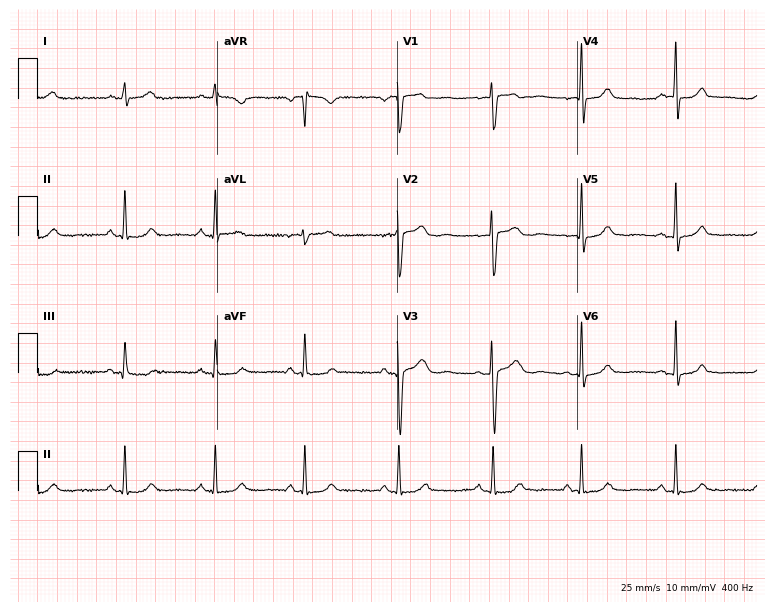
Standard 12-lead ECG recorded from a 36-year-old female patient. Read as a normal ECG.